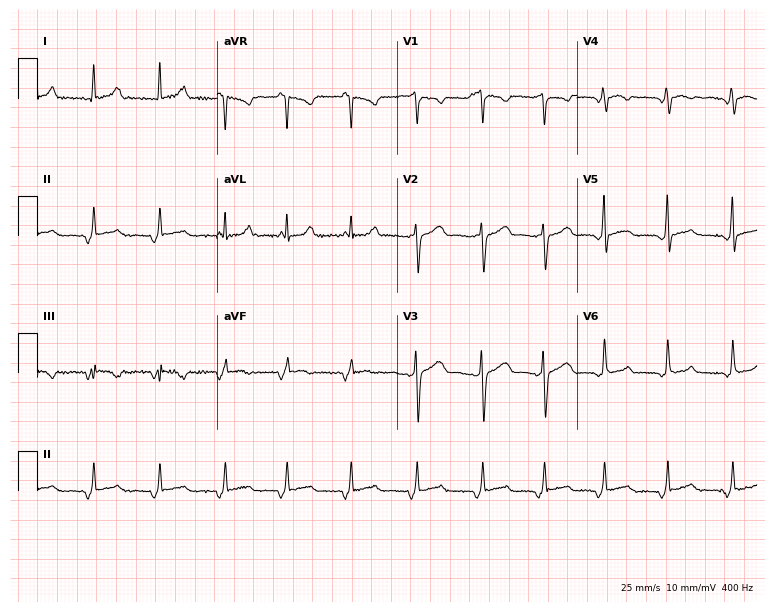
Resting 12-lead electrocardiogram. Patient: a female, 30 years old. None of these six findings is recorded: first-degree AV block, right bundle branch block, left bundle branch block, sinus bradycardia, atrial fibrillation, sinus tachycardia. Only these six findings were labelled.